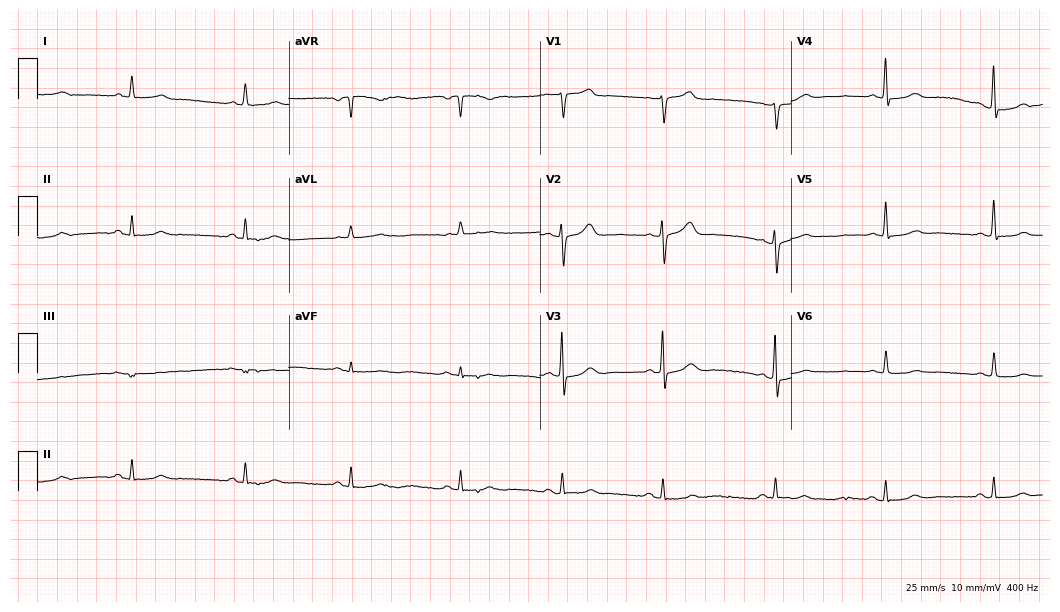
12-lead ECG (10.2-second recording at 400 Hz) from an 84-year-old woman. Screened for six findings — first-degree AV block, right bundle branch block (RBBB), left bundle branch block (LBBB), sinus bradycardia, atrial fibrillation (AF), sinus tachycardia — none is recorded.